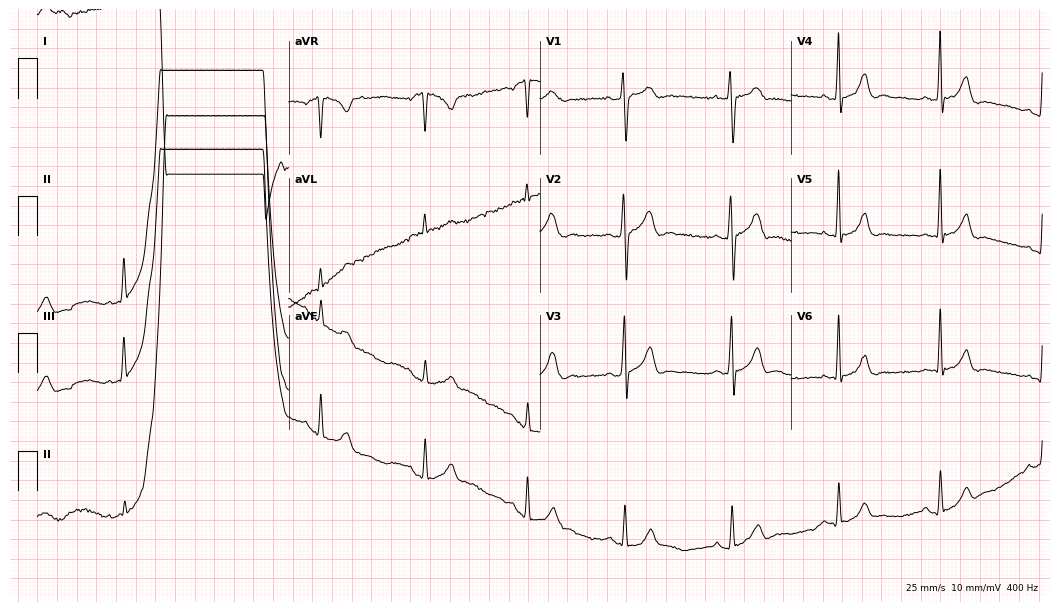
Electrocardiogram, a man, 23 years old. Overall reading on record: normal ECG.